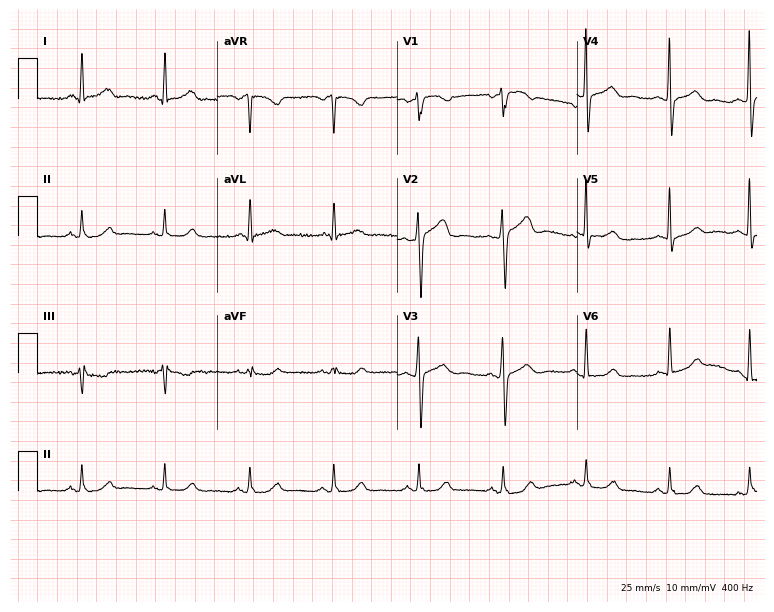
Resting 12-lead electrocardiogram. Patient: a 59-year-old female. None of these six findings is recorded: first-degree AV block, right bundle branch block (RBBB), left bundle branch block (LBBB), sinus bradycardia, atrial fibrillation (AF), sinus tachycardia. Findings outside these six are not listed.